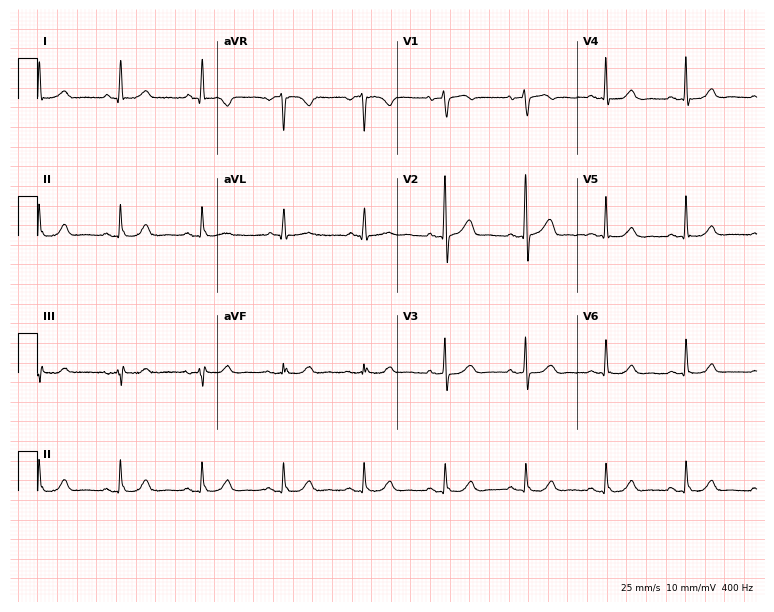
Standard 12-lead ECG recorded from a female patient, 71 years old (7.3-second recording at 400 Hz). Read as a normal ECG.